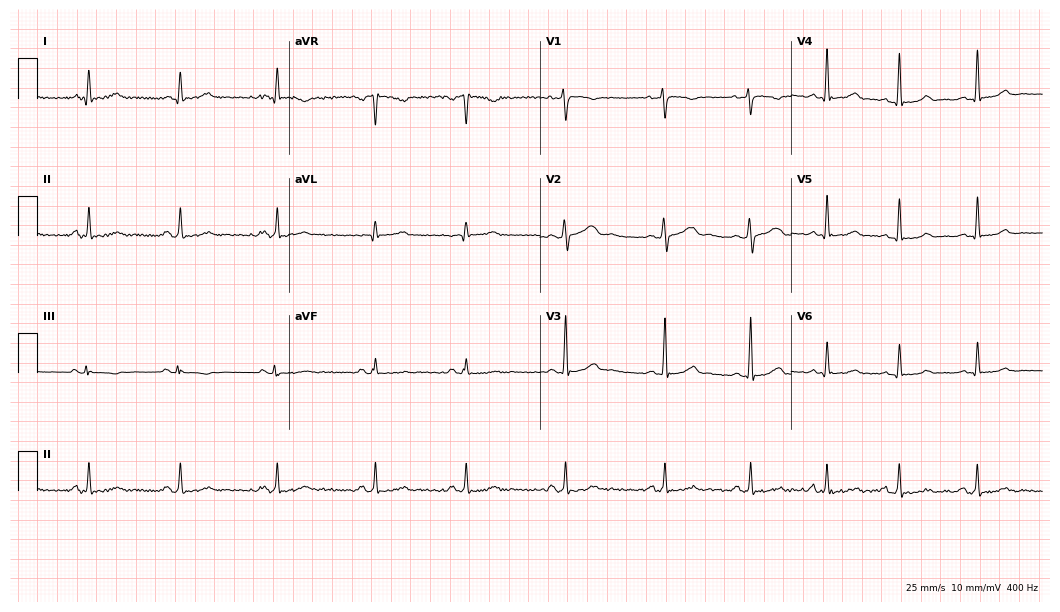
Electrocardiogram (10.2-second recording at 400 Hz), a female patient, 27 years old. Overall reading on record: normal ECG.